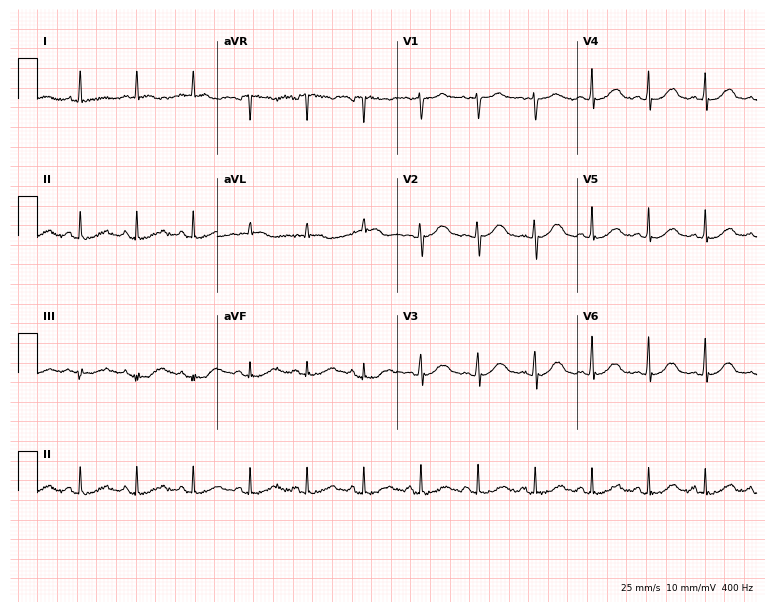
12-lead ECG from a woman, 64 years old. Shows sinus tachycardia (a sinus rate of 100 beats per minute or more).